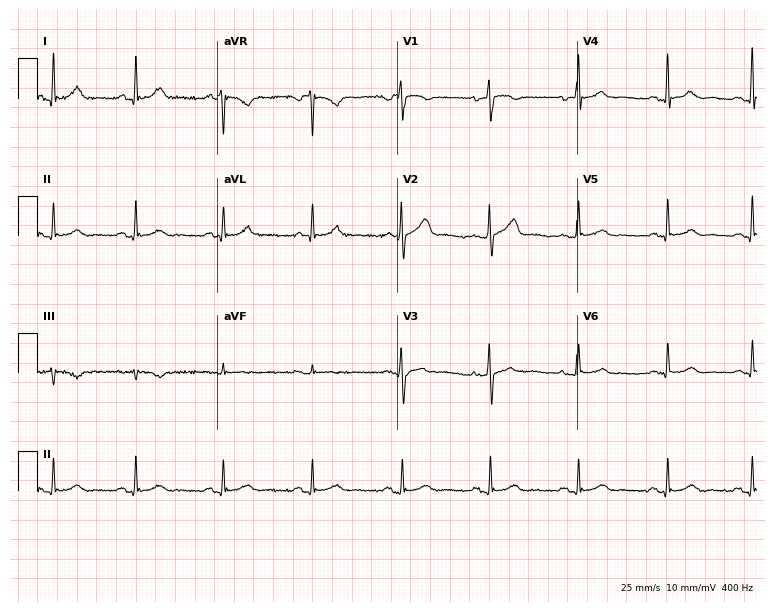
Resting 12-lead electrocardiogram (7.3-second recording at 400 Hz). Patient: a 61-year-old woman. None of these six findings is recorded: first-degree AV block, right bundle branch block (RBBB), left bundle branch block (LBBB), sinus bradycardia, atrial fibrillation (AF), sinus tachycardia. Other findings, if any, are not listed.